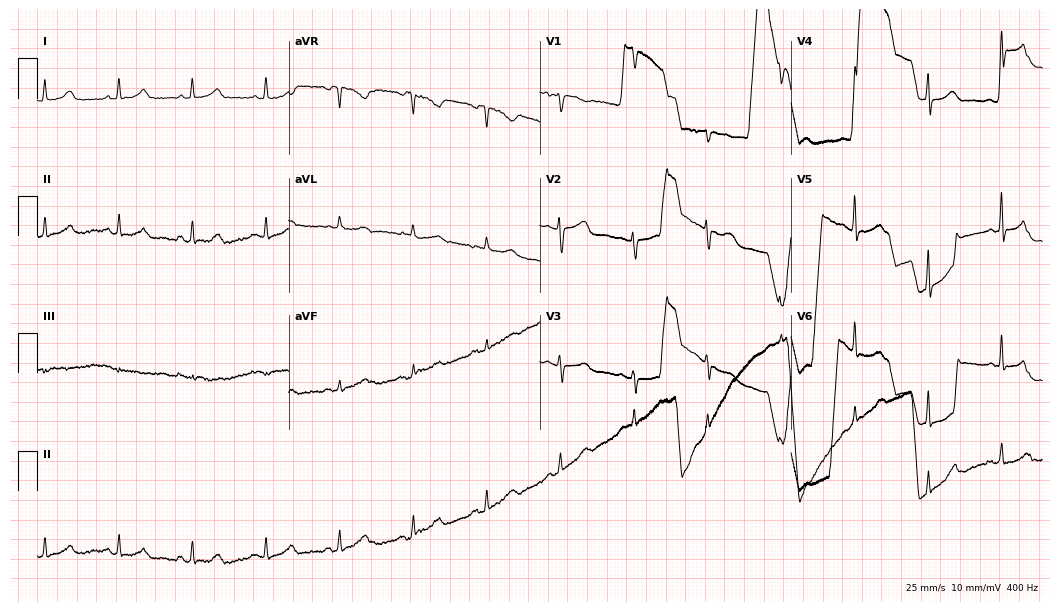
Standard 12-lead ECG recorded from a female, 77 years old. None of these six findings is recorded: first-degree AV block, right bundle branch block (RBBB), left bundle branch block (LBBB), sinus bradycardia, atrial fibrillation (AF), sinus tachycardia.